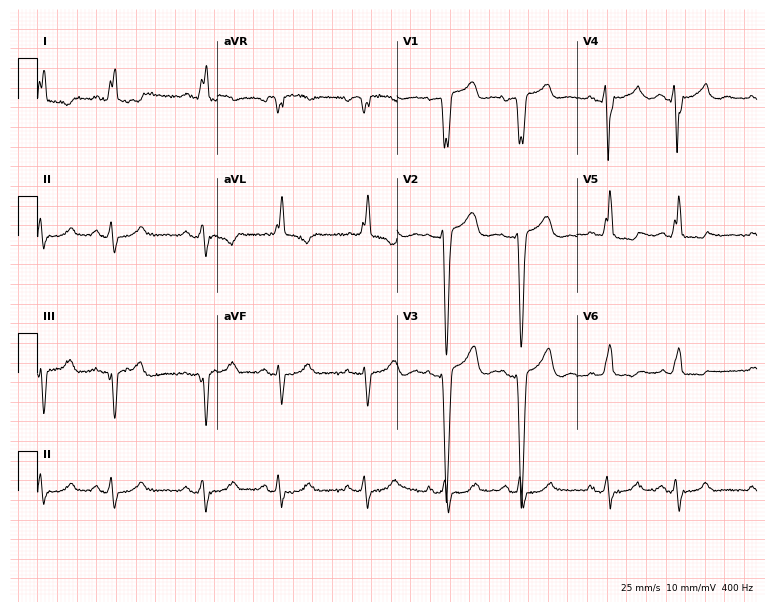
12-lead ECG (7.3-second recording at 400 Hz) from a man, 81 years old. Findings include left bundle branch block.